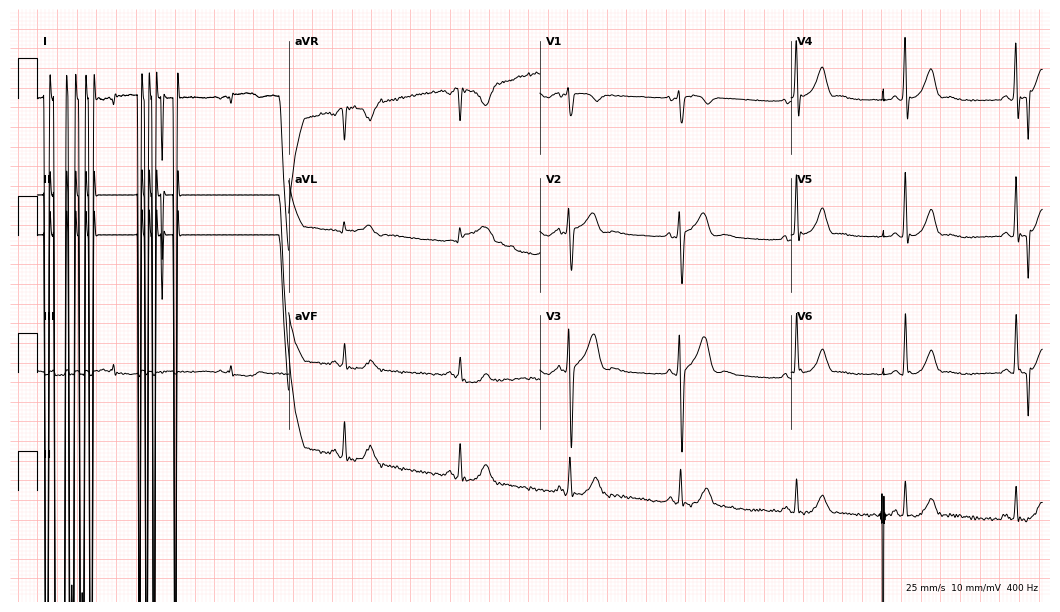
Resting 12-lead electrocardiogram. Patient: a 34-year-old male. None of these six findings is recorded: first-degree AV block, right bundle branch block (RBBB), left bundle branch block (LBBB), sinus bradycardia, atrial fibrillation (AF), sinus tachycardia.